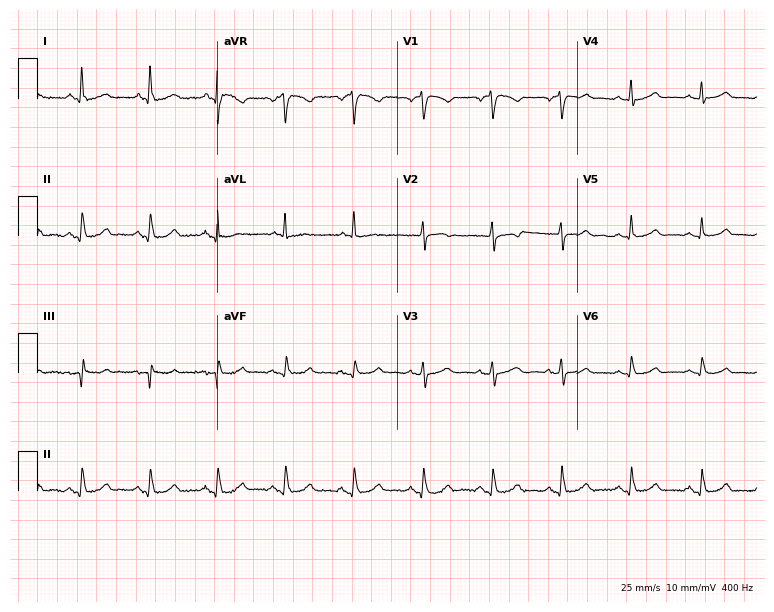
Standard 12-lead ECG recorded from a 69-year-old female (7.3-second recording at 400 Hz). Read as a normal ECG.